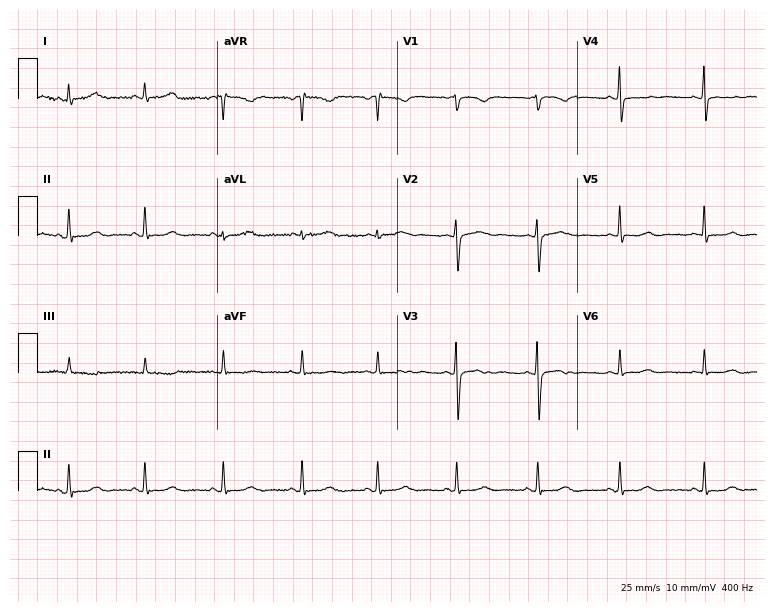
ECG (7.3-second recording at 400 Hz) — a female patient, 46 years old. Labelled as a normal ECG.